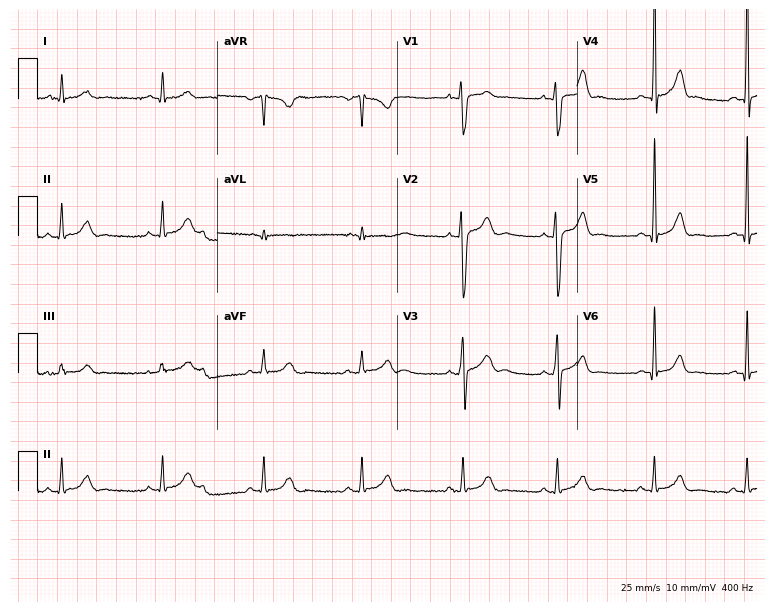
12-lead ECG from a 19-year-old man. Screened for six findings — first-degree AV block, right bundle branch block, left bundle branch block, sinus bradycardia, atrial fibrillation, sinus tachycardia — none is recorded.